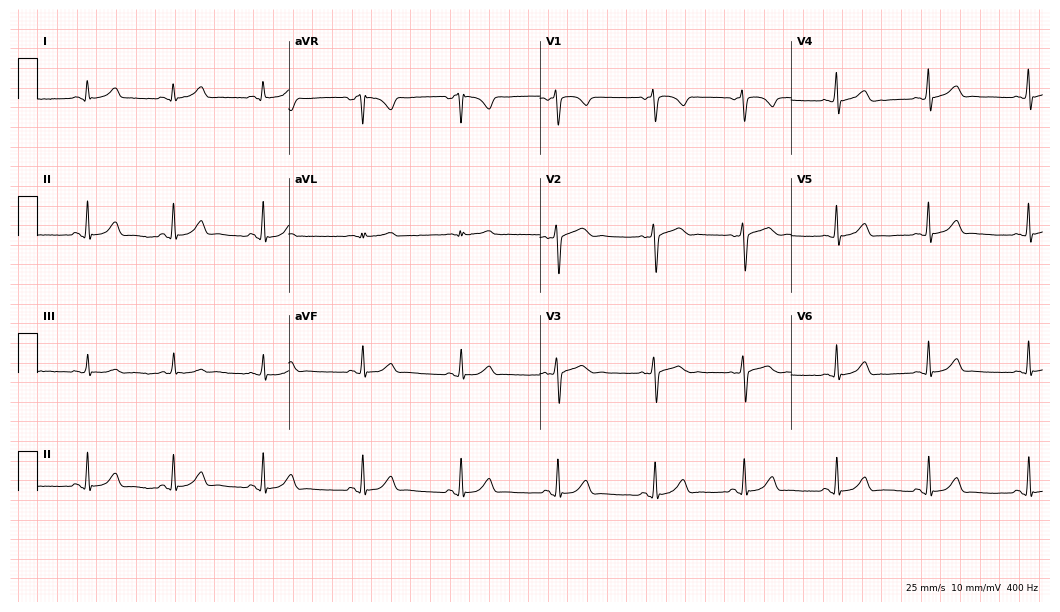
12-lead ECG from a 28-year-old female. Screened for six findings — first-degree AV block, right bundle branch block (RBBB), left bundle branch block (LBBB), sinus bradycardia, atrial fibrillation (AF), sinus tachycardia — none is recorded.